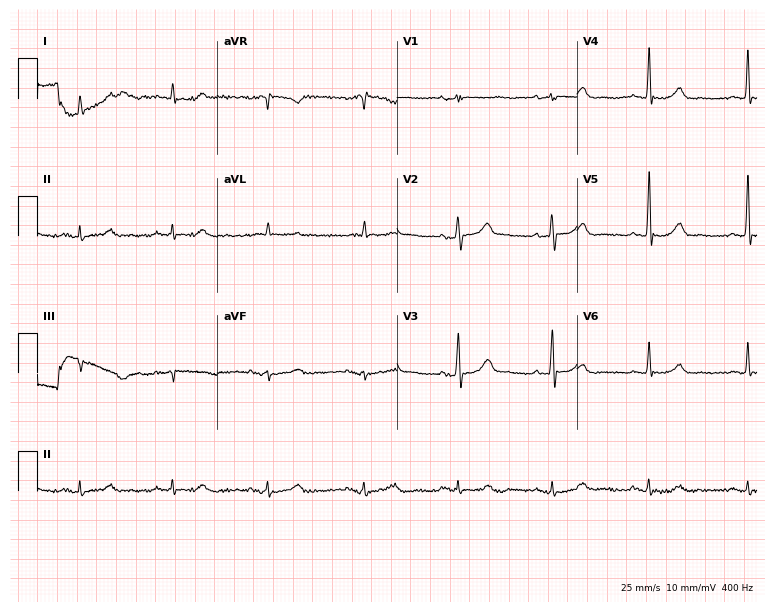
12-lead ECG from an 80-year-old male (7.3-second recording at 400 Hz). No first-degree AV block, right bundle branch block, left bundle branch block, sinus bradycardia, atrial fibrillation or sinus tachycardia recorded for this tracing.